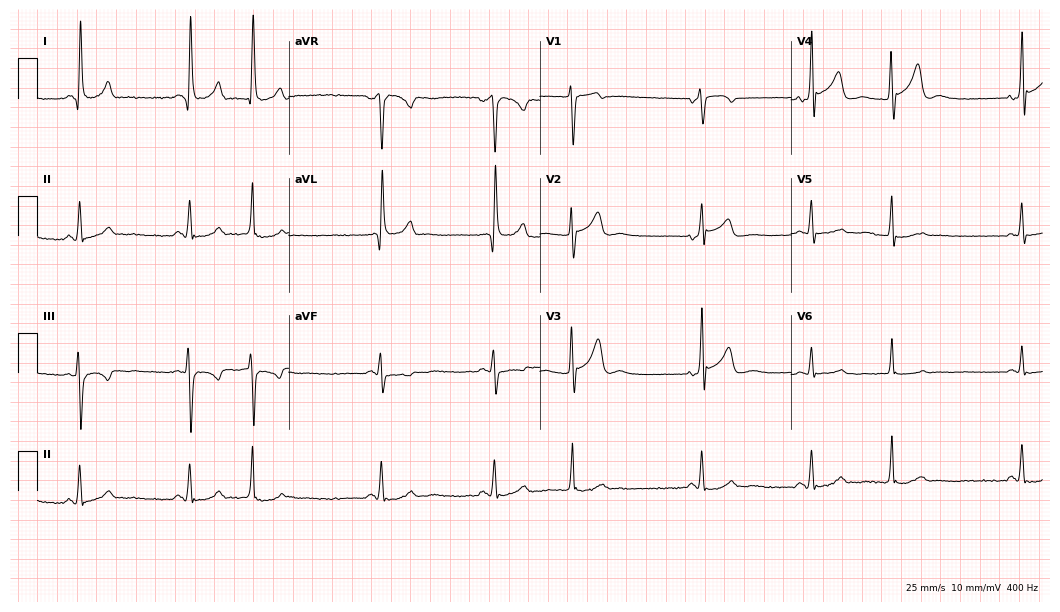
Resting 12-lead electrocardiogram. Patient: a woman, 56 years old. None of these six findings is recorded: first-degree AV block, right bundle branch block, left bundle branch block, sinus bradycardia, atrial fibrillation, sinus tachycardia. Findings outside these six are not listed.